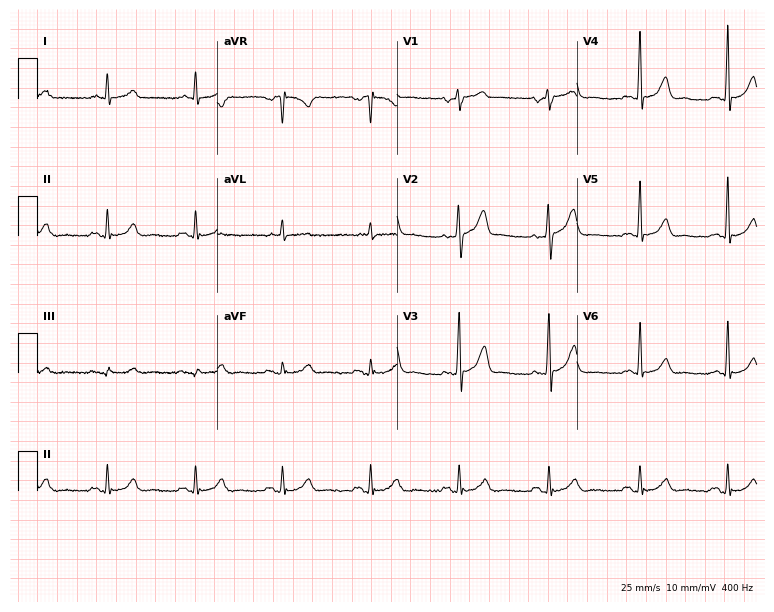
Standard 12-lead ECG recorded from a male patient, 57 years old. Read as a normal ECG.